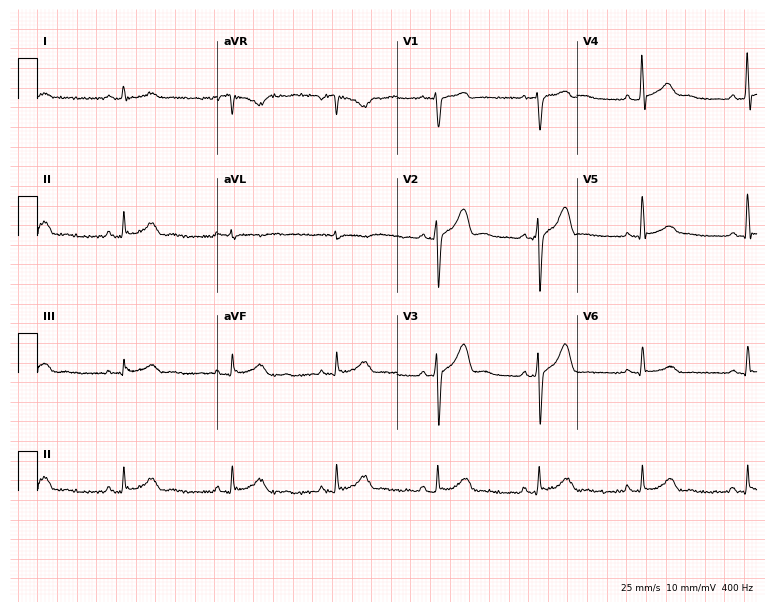
ECG (7.3-second recording at 400 Hz) — a 44-year-old man. Screened for six findings — first-degree AV block, right bundle branch block (RBBB), left bundle branch block (LBBB), sinus bradycardia, atrial fibrillation (AF), sinus tachycardia — none is recorded. Other findings, if any, are not listed.